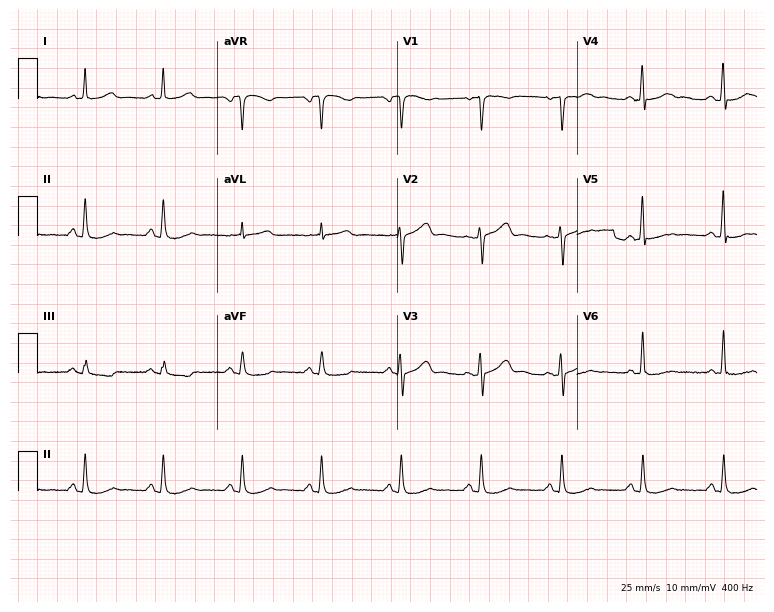
12-lead ECG from a 59-year-old man. No first-degree AV block, right bundle branch block, left bundle branch block, sinus bradycardia, atrial fibrillation or sinus tachycardia recorded for this tracing.